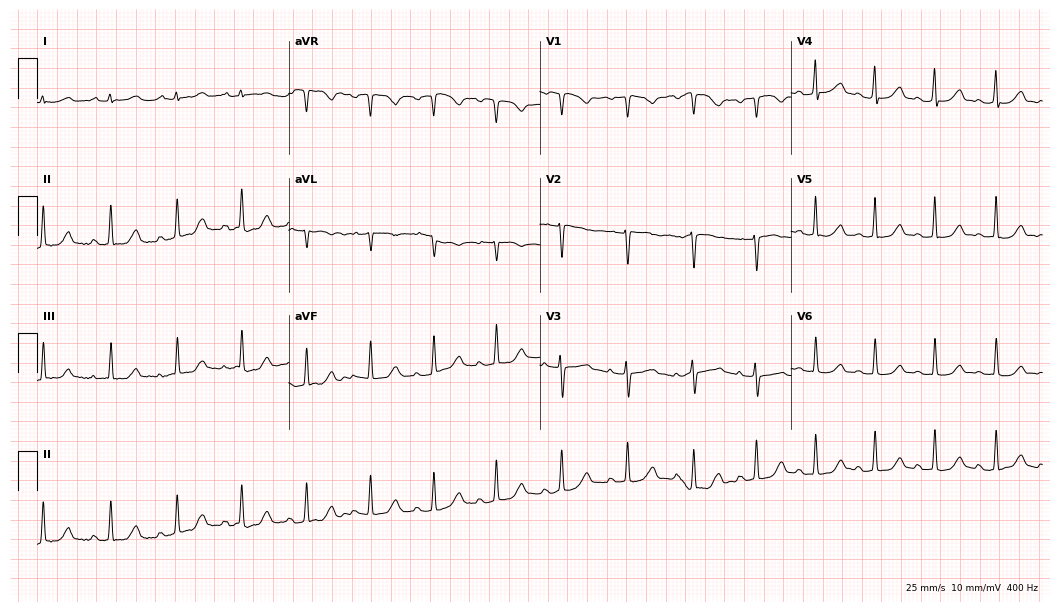
Electrocardiogram (10.2-second recording at 400 Hz), a 21-year-old woman. Of the six screened findings (first-degree AV block, right bundle branch block, left bundle branch block, sinus bradycardia, atrial fibrillation, sinus tachycardia), none is recorded. Findings outside these six are not listed.